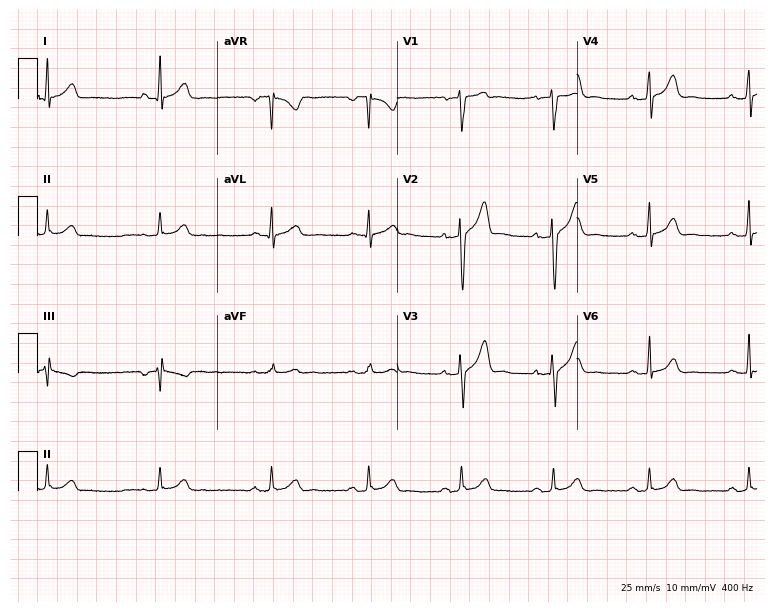
Resting 12-lead electrocardiogram. Patient: a man, 31 years old. None of these six findings is recorded: first-degree AV block, right bundle branch block, left bundle branch block, sinus bradycardia, atrial fibrillation, sinus tachycardia. Only these six findings were labelled.